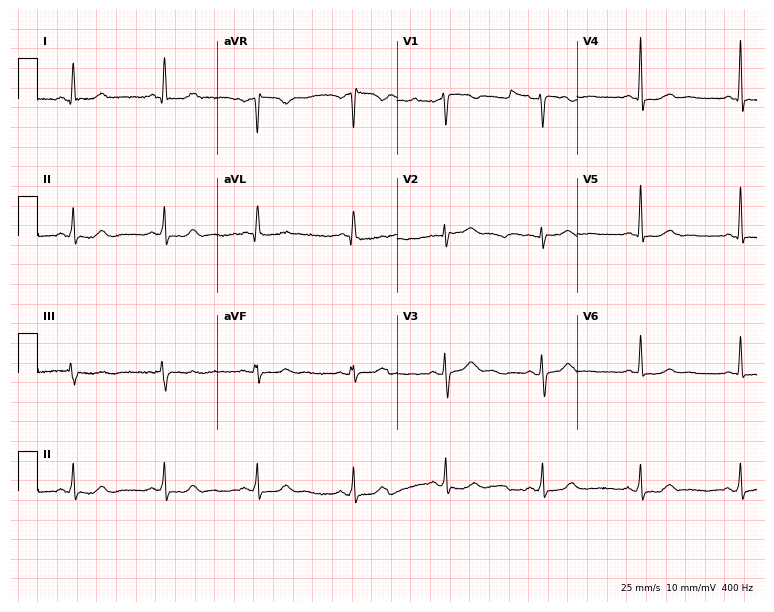
ECG (7.3-second recording at 400 Hz) — a woman, 44 years old. Screened for six findings — first-degree AV block, right bundle branch block, left bundle branch block, sinus bradycardia, atrial fibrillation, sinus tachycardia — none is recorded.